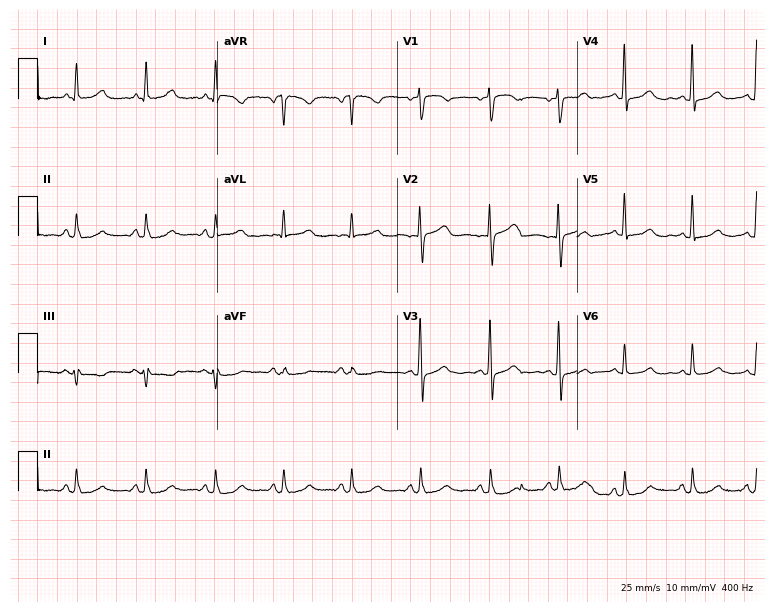
Resting 12-lead electrocardiogram. Patient: a 58-year-old female. Read as a normal ECG.